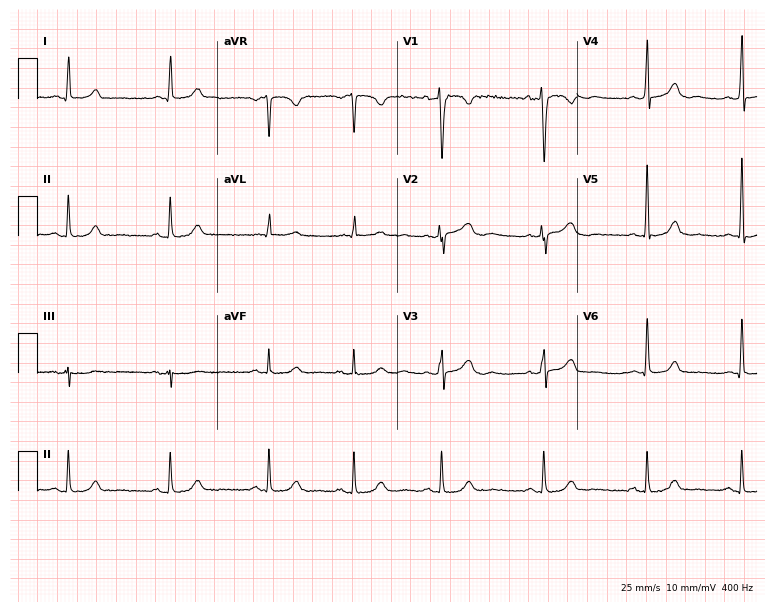
12-lead ECG from a 23-year-old female (7.3-second recording at 400 Hz). Recorded interpretation: within normal limits.